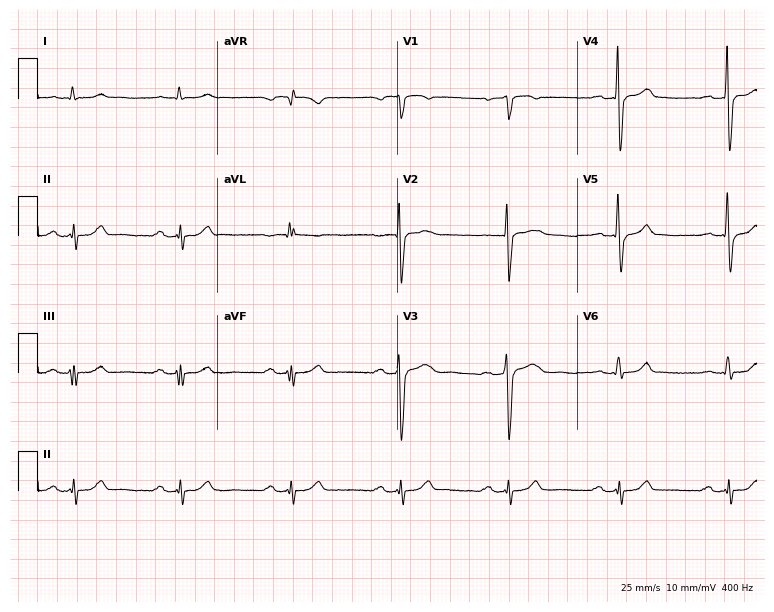
ECG (7.3-second recording at 400 Hz) — a 66-year-old man. Screened for six findings — first-degree AV block, right bundle branch block, left bundle branch block, sinus bradycardia, atrial fibrillation, sinus tachycardia — none is recorded.